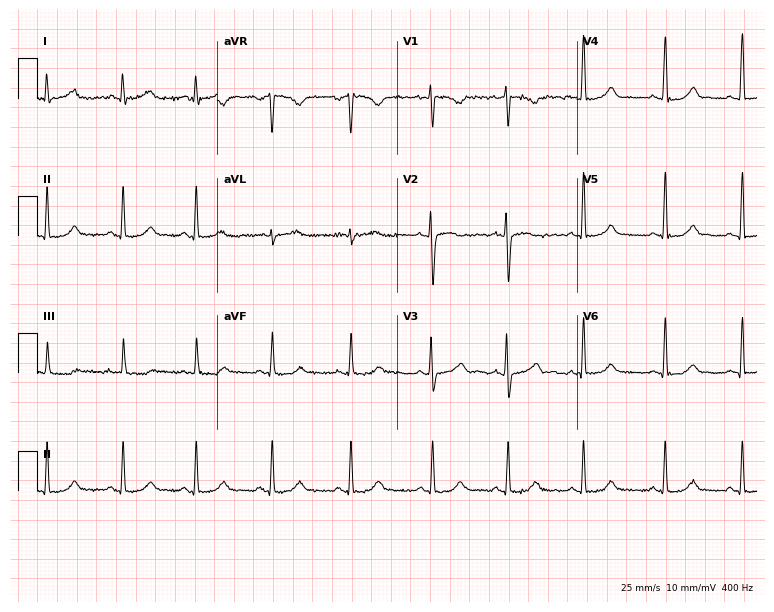
Resting 12-lead electrocardiogram. Patient: a female, 19 years old. Read as a normal ECG.